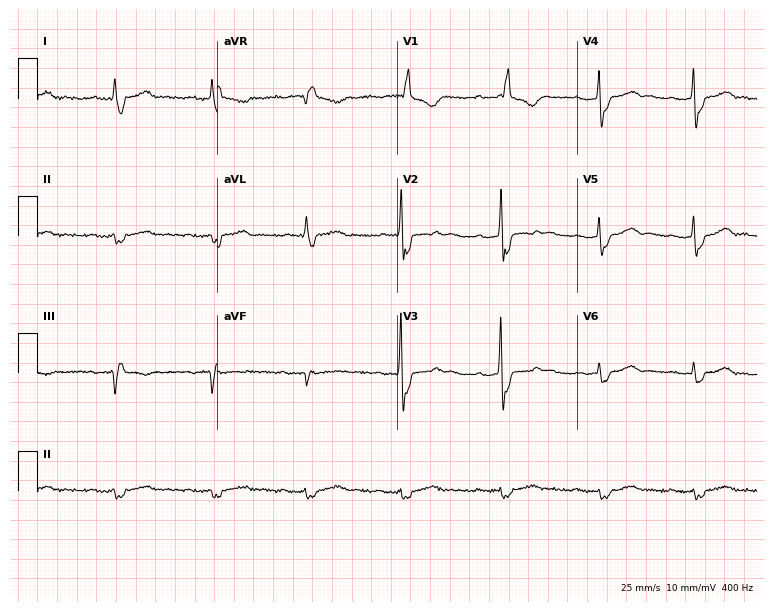
Standard 12-lead ECG recorded from a male, 67 years old. The tracing shows first-degree AV block, right bundle branch block.